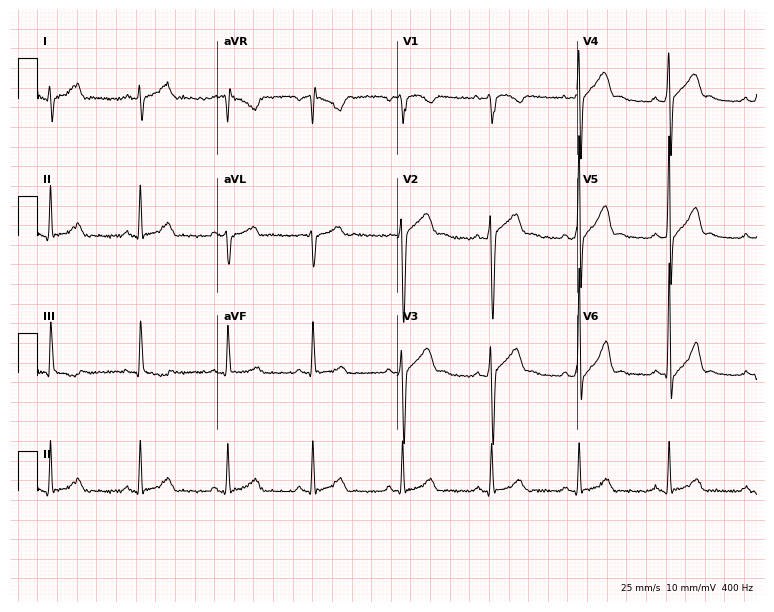
12-lead ECG from a male patient, 32 years old (7.3-second recording at 400 Hz). No first-degree AV block, right bundle branch block (RBBB), left bundle branch block (LBBB), sinus bradycardia, atrial fibrillation (AF) or sinus tachycardia recorded for this tracing. Findings outside these six are not listed.